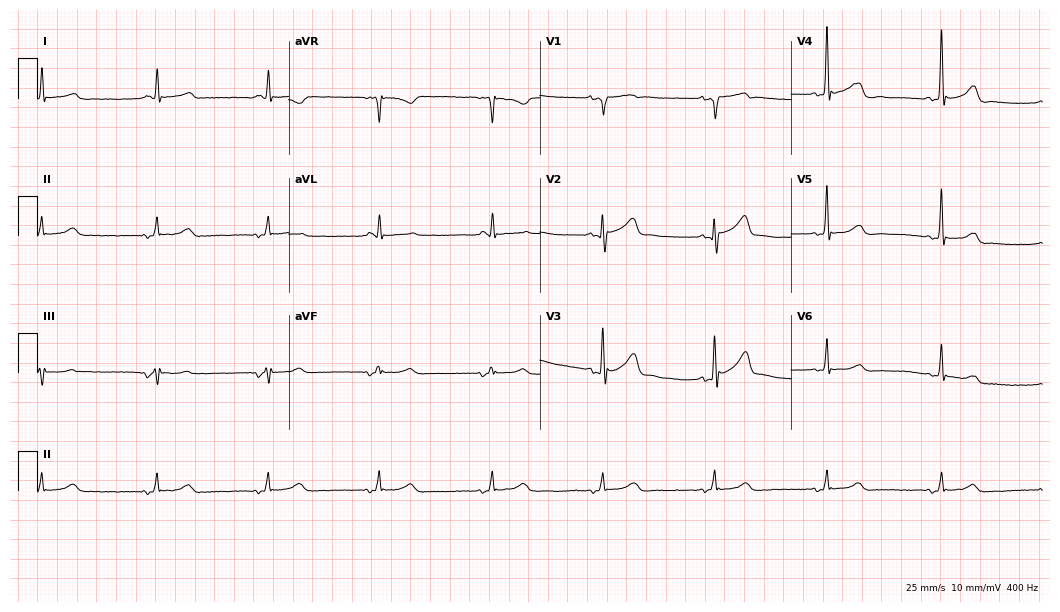
Resting 12-lead electrocardiogram (10.2-second recording at 400 Hz). Patient: a 71-year-old male. None of these six findings is recorded: first-degree AV block, right bundle branch block, left bundle branch block, sinus bradycardia, atrial fibrillation, sinus tachycardia. Only these six findings were labelled.